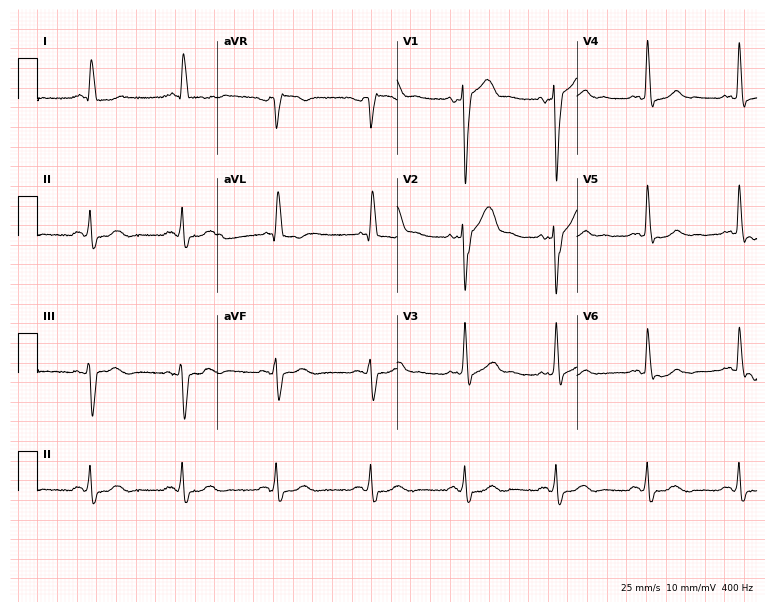
Resting 12-lead electrocardiogram (7.3-second recording at 400 Hz). Patient: a 70-year-old male. None of these six findings is recorded: first-degree AV block, right bundle branch block, left bundle branch block, sinus bradycardia, atrial fibrillation, sinus tachycardia.